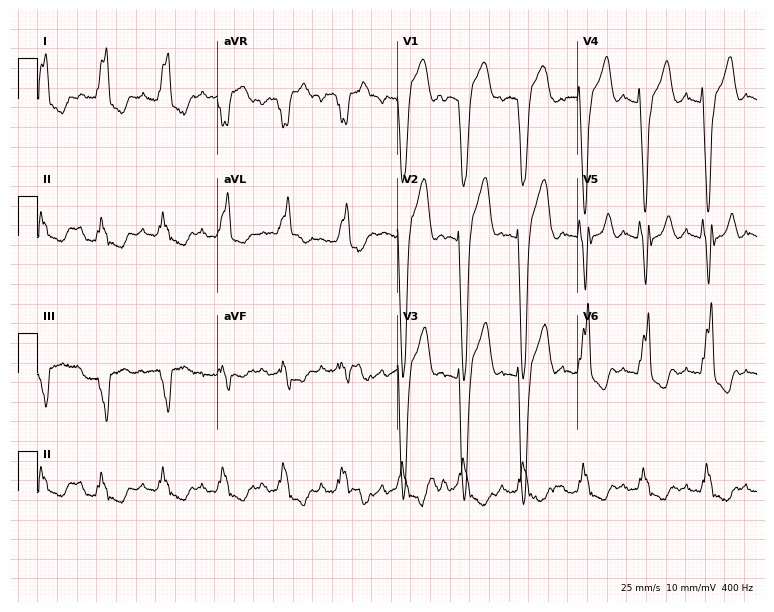
Electrocardiogram, a male patient, 78 years old. Interpretation includes left bundle branch block.